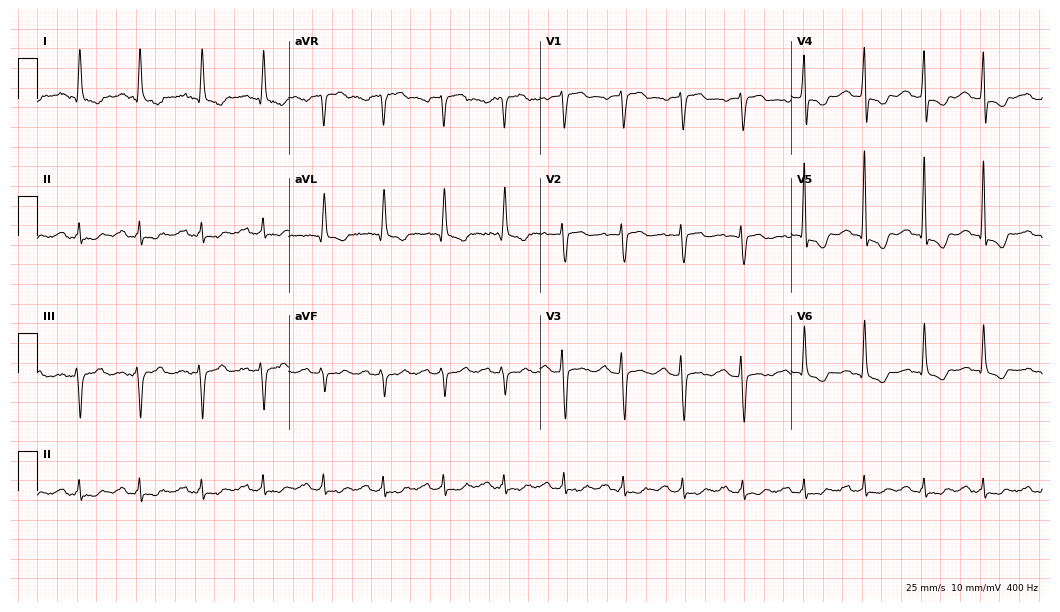
Standard 12-lead ECG recorded from a 78-year-old male. None of these six findings is recorded: first-degree AV block, right bundle branch block, left bundle branch block, sinus bradycardia, atrial fibrillation, sinus tachycardia. Only these six findings were labelled.